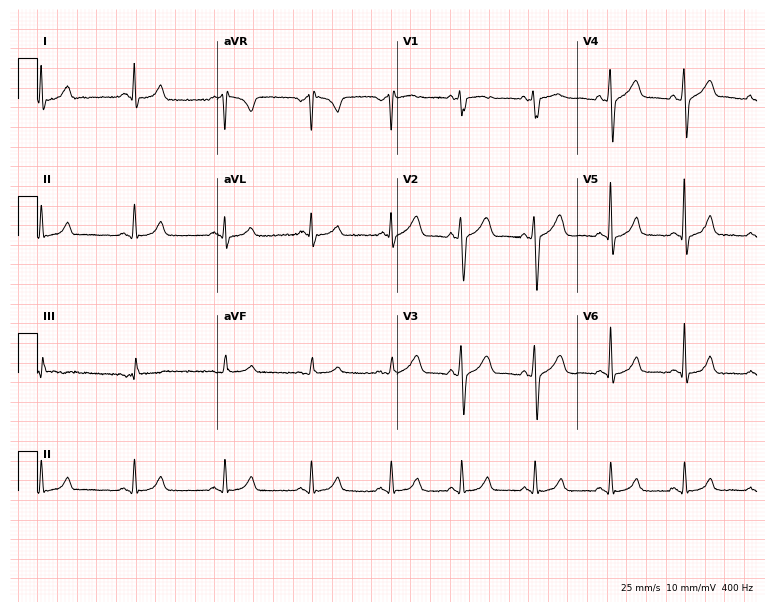
12-lead ECG (7.3-second recording at 400 Hz) from a male patient, 61 years old. Screened for six findings — first-degree AV block, right bundle branch block (RBBB), left bundle branch block (LBBB), sinus bradycardia, atrial fibrillation (AF), sinus tachycardia — none is recorded.